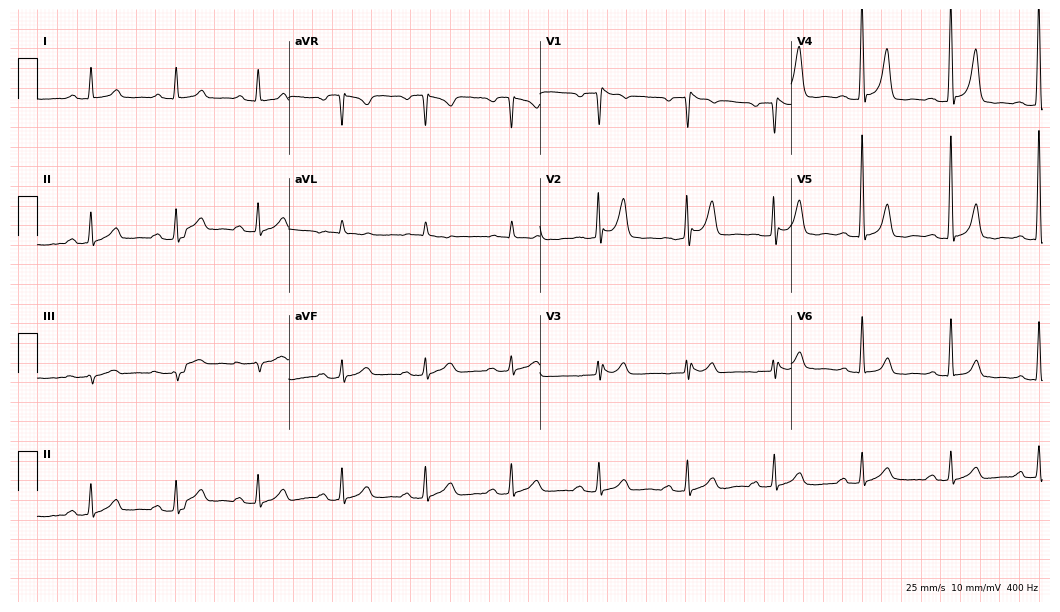
12-lead ECG from a male patient, 71 years old. Findings include first-degree AV block.